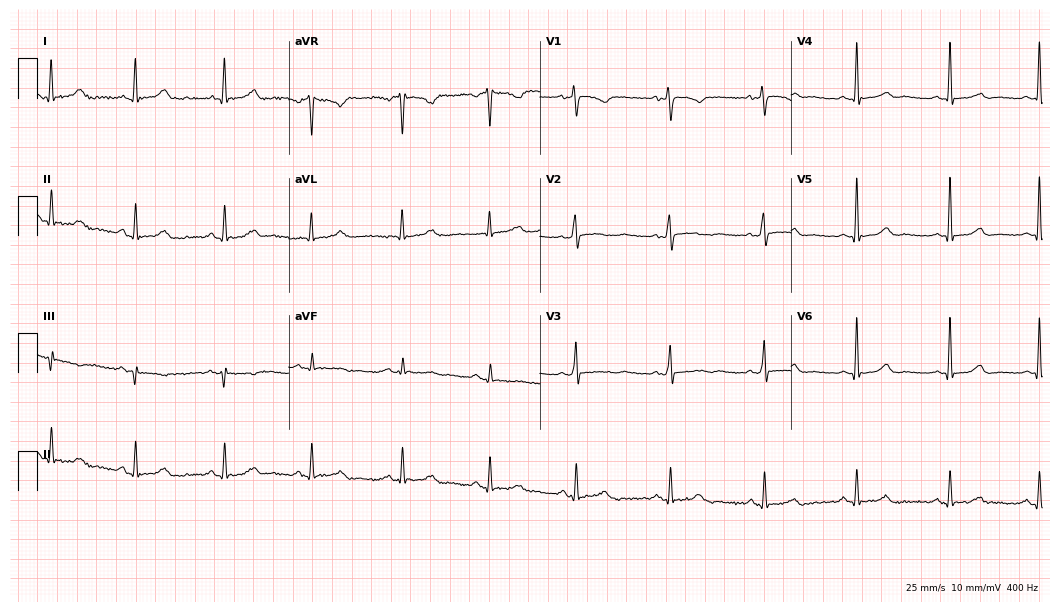
Electrocardiogram, a female, 25 years old. Of the six screened findings (first-degree AV block, right bundle branch block (RBBB), left bundle branch block (LBBB), sinus bradycardia, atrial fibrillation (AF), sinus tachycardia), none is recorded.